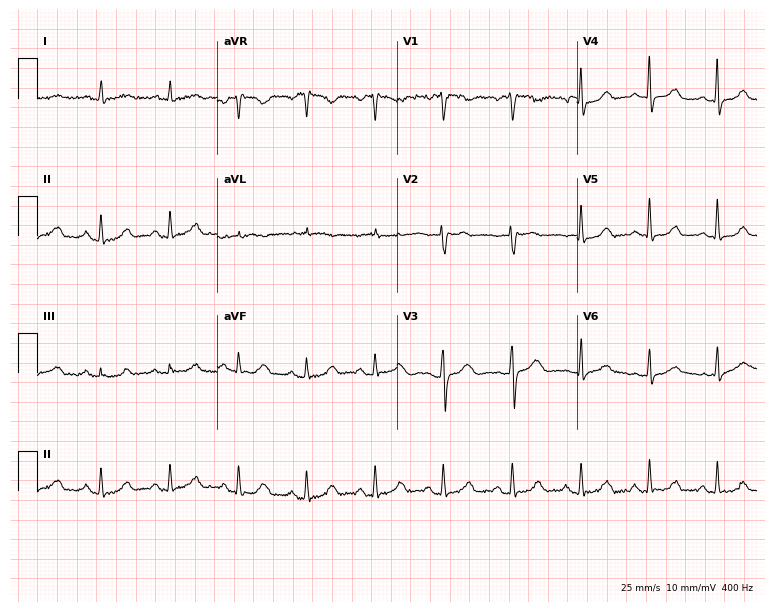
Electrocardiogram, a woman, 54 years old. Overall reading on record: normal ECG.